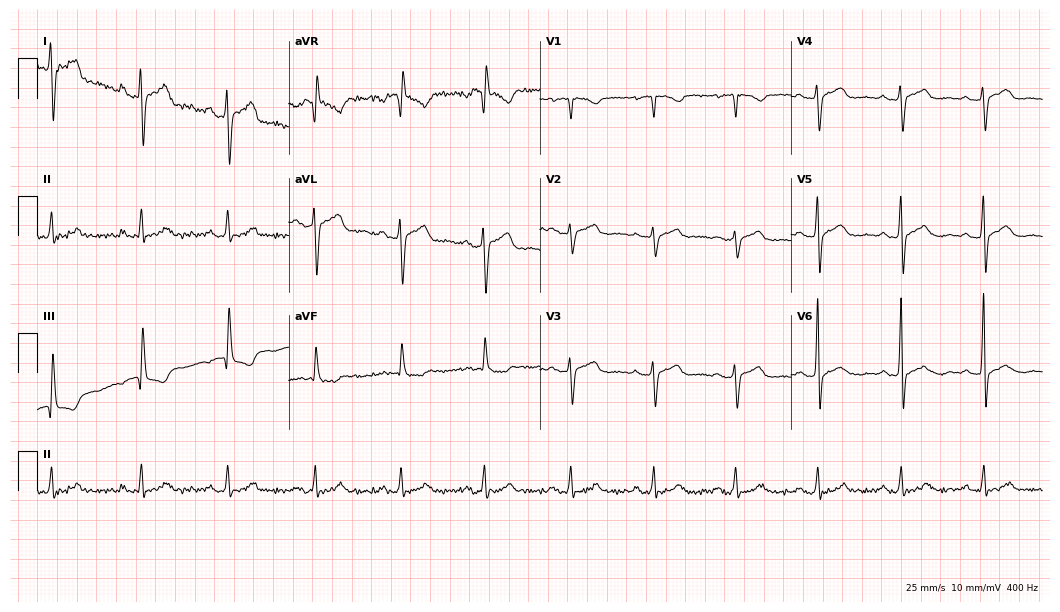
Standard 12-lead ECG recorded from a 50-year-old woman. None of these six findings is recorded: first-degree AV block, right bundle branch block (RBBB), left bundle branch block (LBBB), sinus bradycardia, atrial fibrillation (AF), sinus tachycardia.